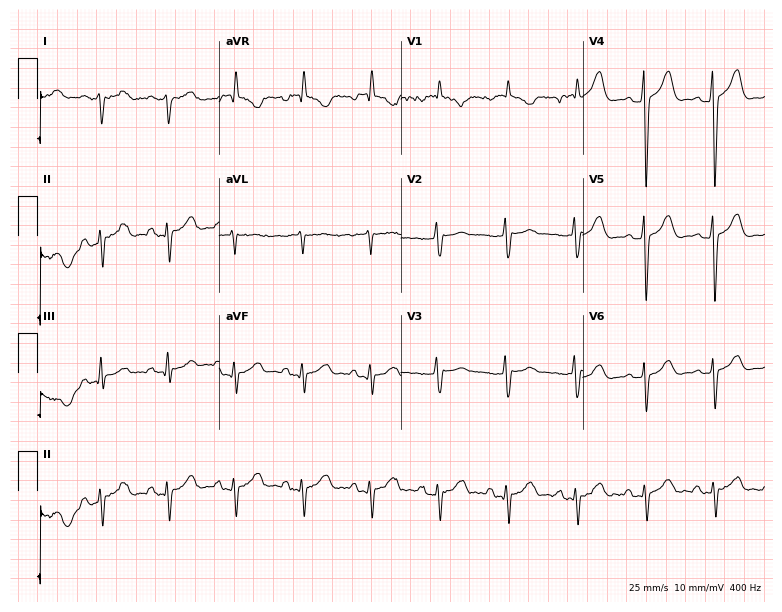
ECG — a male, 42 years old. Screened for six findings — first-degree AV block, right bundle branch block (RBBB), left bundle branch block (LBBB), sinus bradycardia, atrial fibrillation (AF), sinus tachycardia — none is recorded.